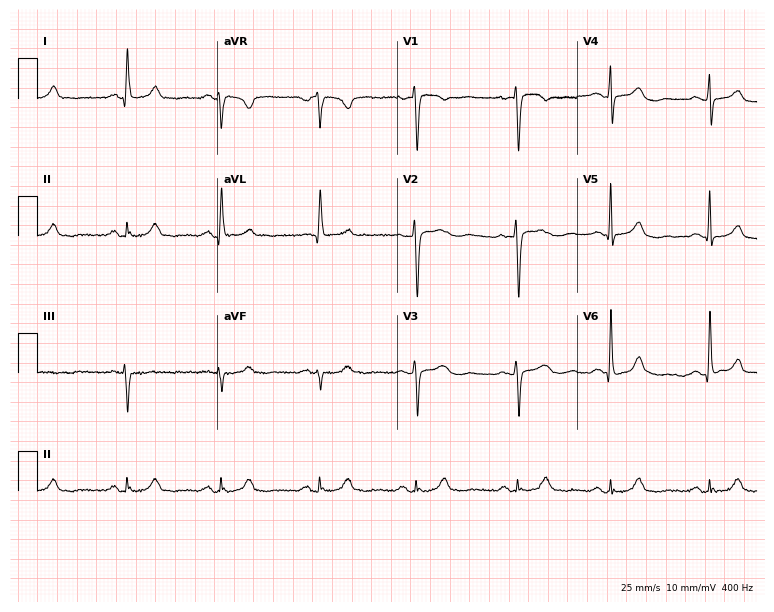
ECG (7.3-second recording at 400 Hz) — a female patient, 53 years old. Screened for six findings — first-degree AV block, right bundle branch block (RBBB), left bundle branch block (LBBB), sinus bradycardia, atrial fibrillation (AF), sinus tachycardia — none is recorded. Only these six findings were labelled.